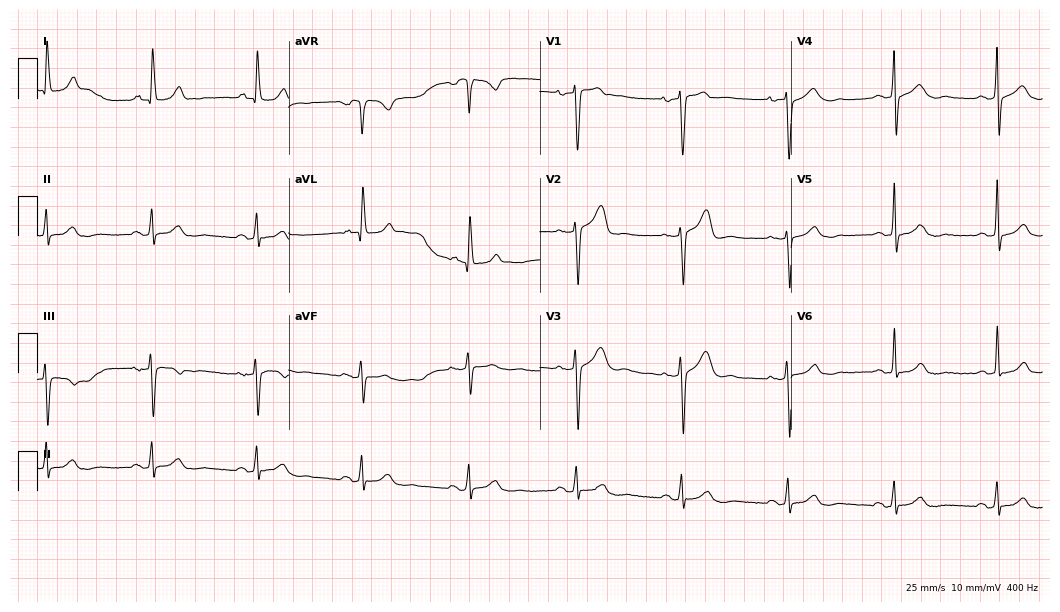
Electrocardiogram (10.2-second recording at 400 Hz), a 66-year-old female patient. Overall reading on record: normal ECG.